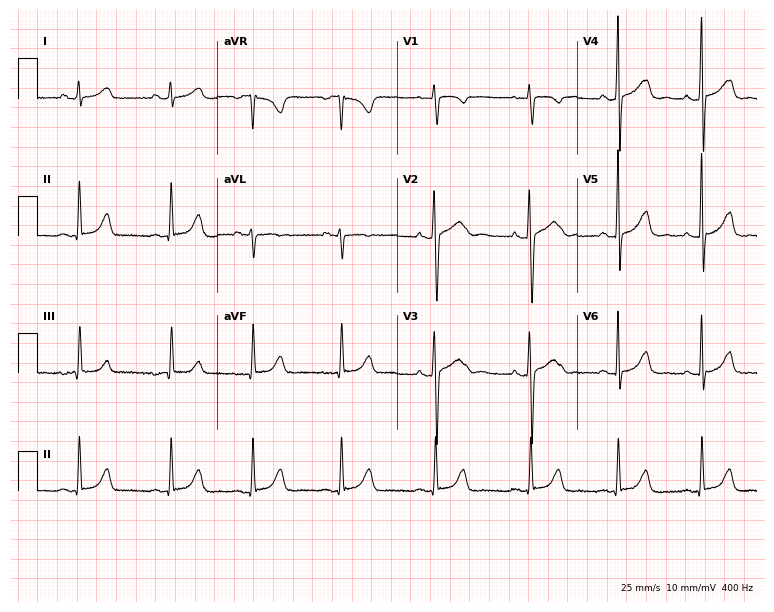
Electrocardiogram (7.3-second recording at 400 Hz), a 37-year-old female. Overall reading on record: normal ECG.